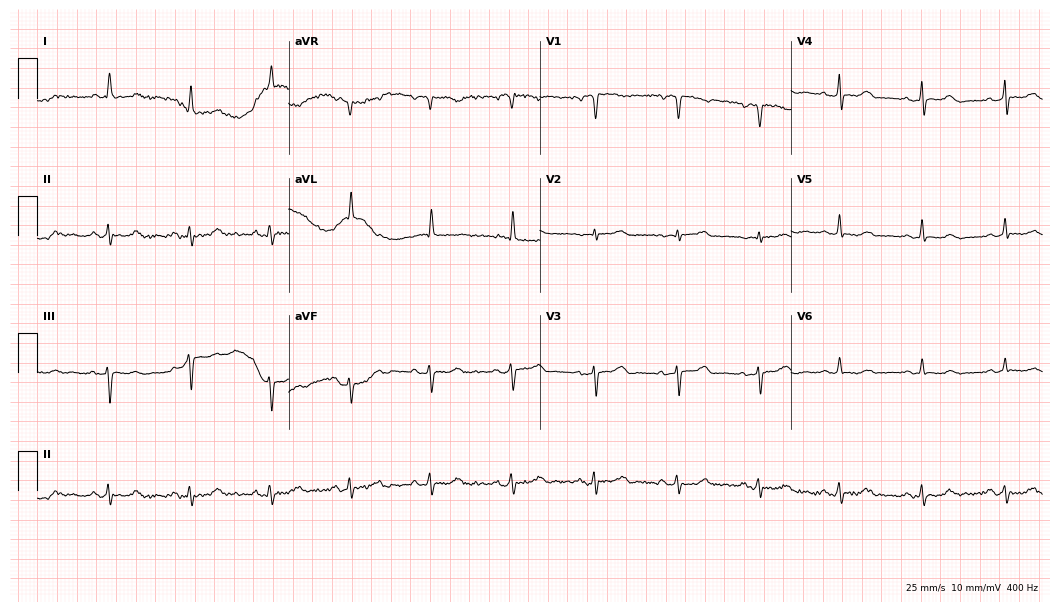
12-lead ECG from a female, 76 years old (10.2-second recording at 400 Hz). No first-degree AV block, right bundle branch block, left bundle branch block, sinus bradycardia, atrial fibrillation or sinus tachycardia recorded for this tracing. Findings outside these six are not listed.